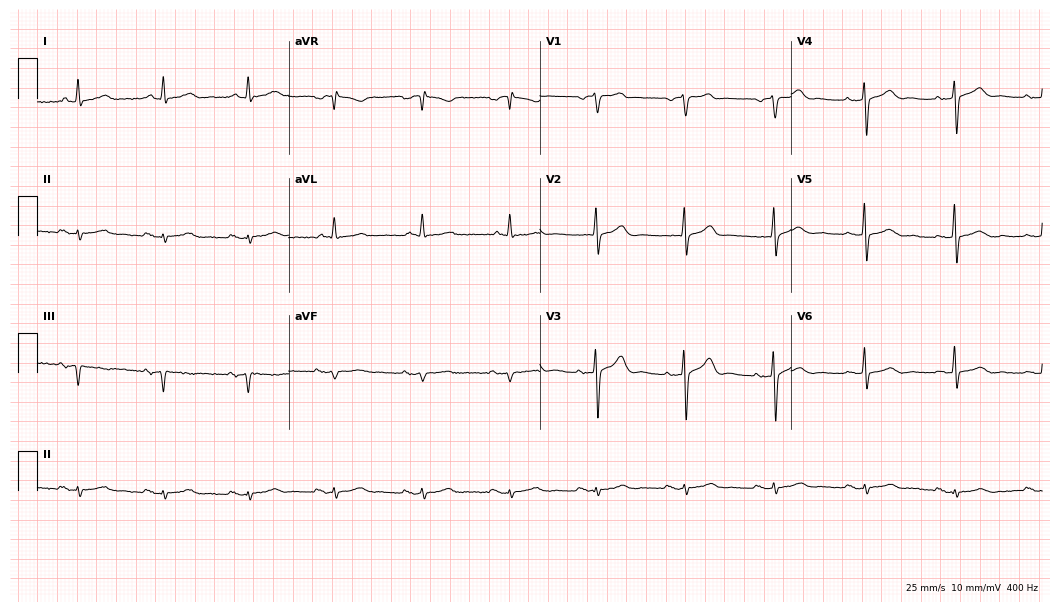
ECG — a male patient, 85 years old. Labelled as a normal ECG.